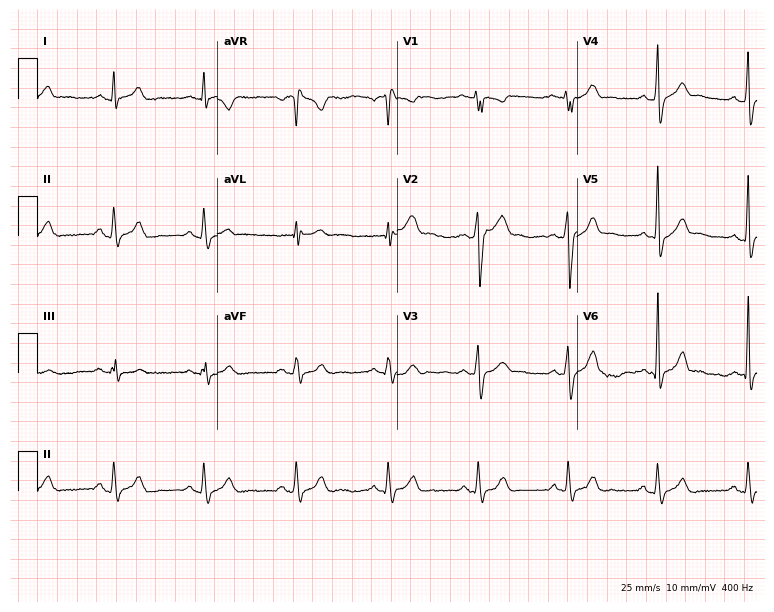
12-lead ECG from a man, 34 years old. Screened for six findings — first-degree AV block, right bundle branch block (RBBB), left bundle branch block (LBBB), sinus bradycardia, atrial fibrillation (AF), sinus tachycardia — none is recorded.